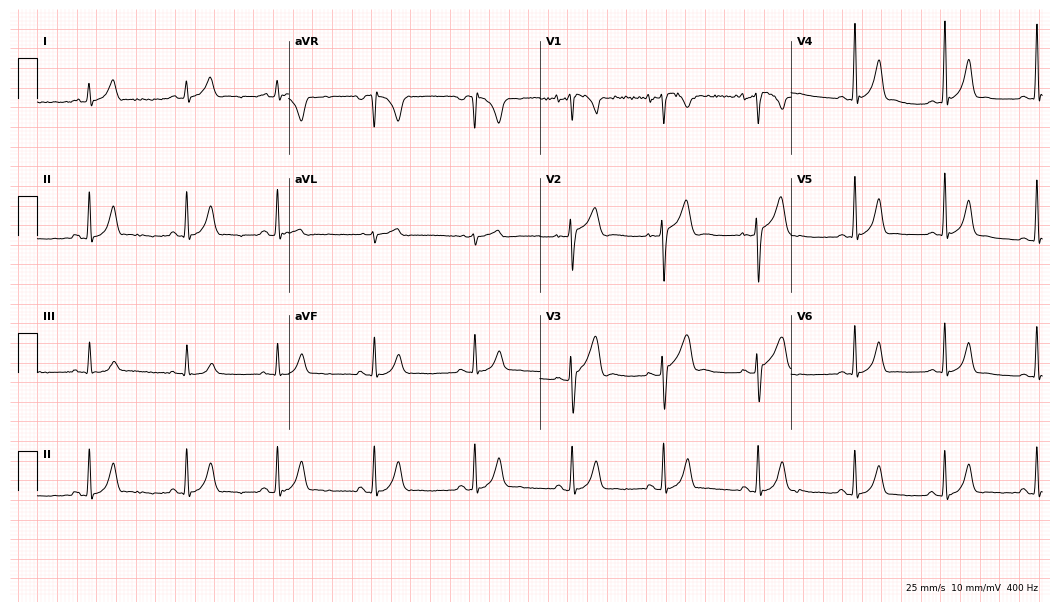
Electrocardiogram, a 26-year-old male. Overall reading on record: normal ECG.